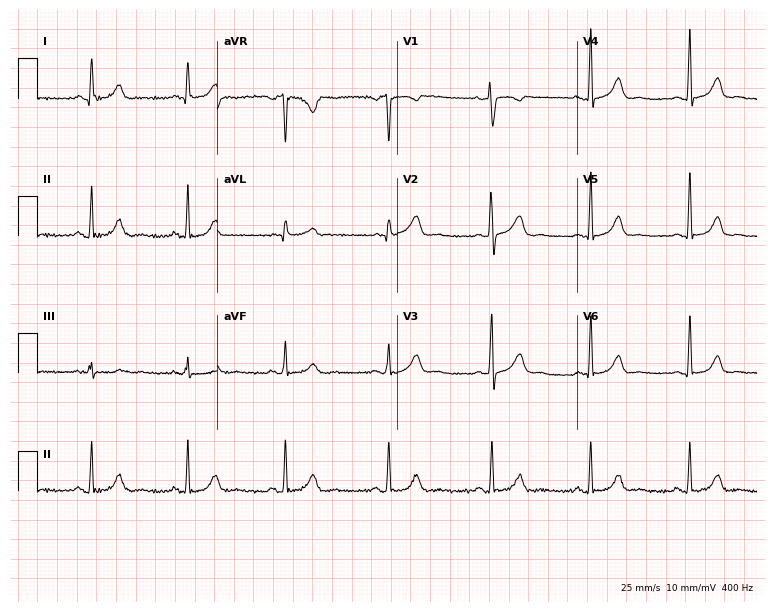
Standard 12-lead ECG recorded from a female, 29 years old (7.3-second recording at 400 Hz). Read as a normal ECG.